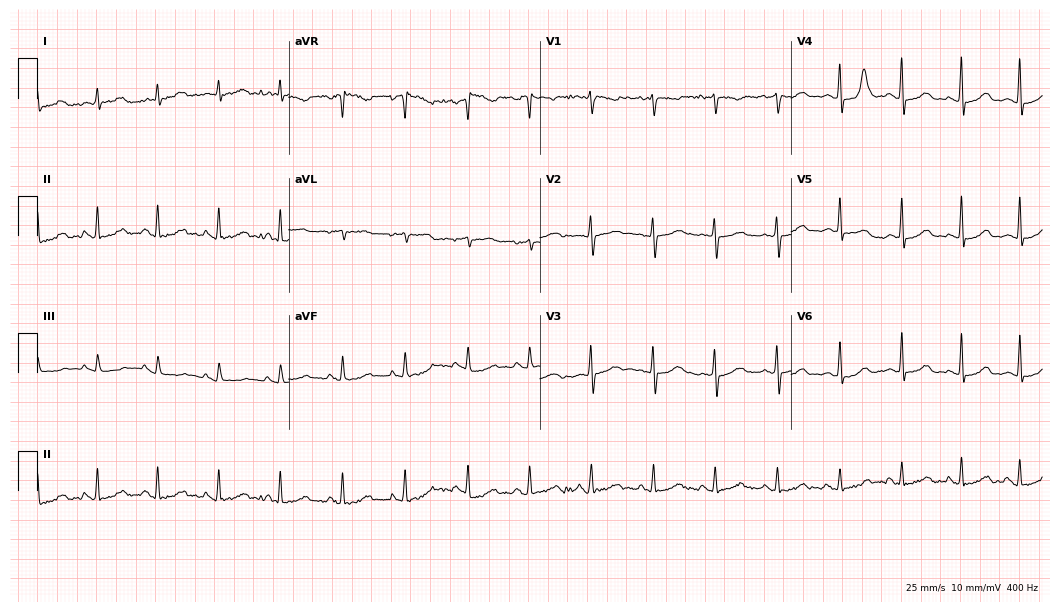
12-lead ECG from a 37-year-old female patient. Recorded interpretation: within normal limits.